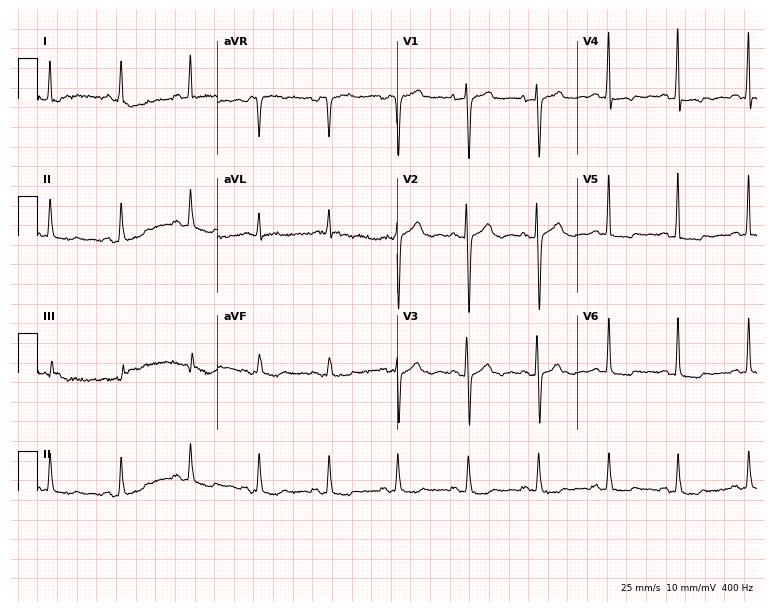
ECG (7.3-second recording at 400 Hz) — a 72-year-old female patient. Labelled as a normal ECG.